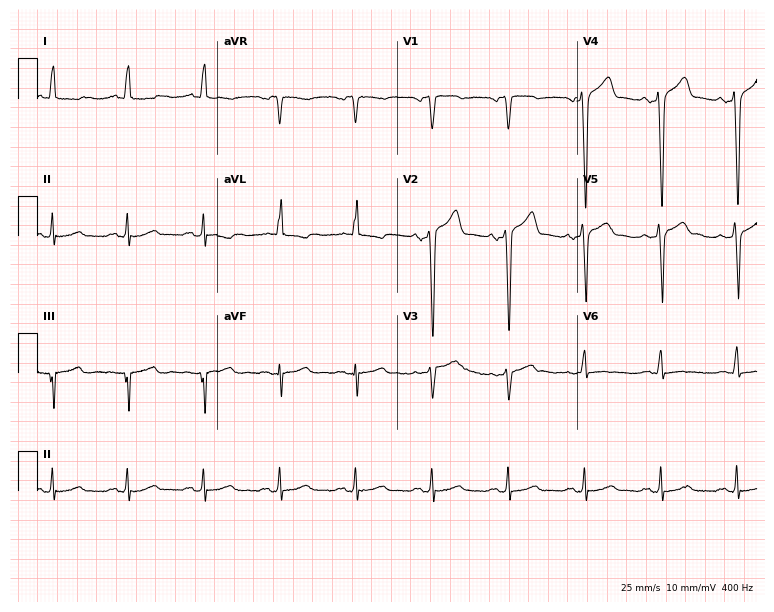
Electrocardiogram, a male, 58 years old. Of the six screened findings (first-degree AV block, right bundle branch block, left bundle branch block, sinus bradycardia, atrial fibrillation, sinus tachycardia), none is recorded.